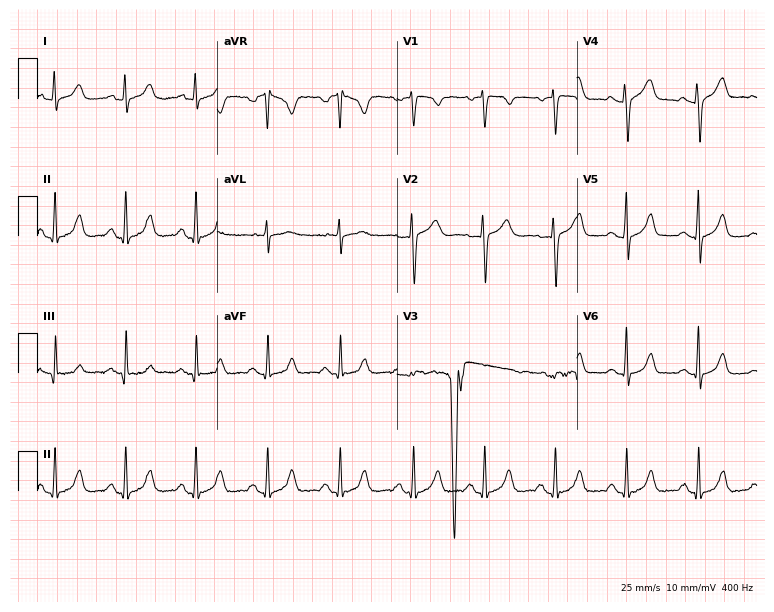
Electrocardiogram (7.3-second recording at 400 Hz), a 31-year-old female. Of the six screened findings (first-degree AV block, right bundle branch block (RBBB), left bundle branch block (LBBB), sinus bradycardia, atrial fibrillation (AF), sinus tachycardia), none is recorded.